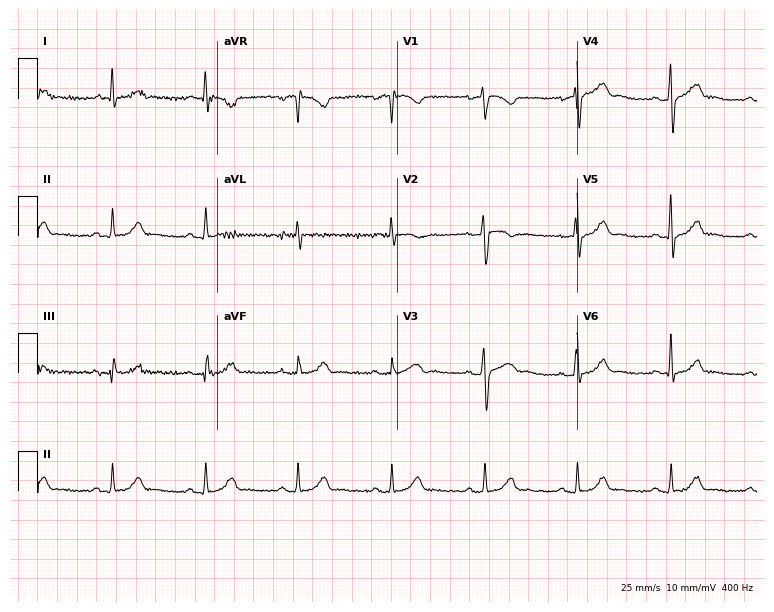
Electrocardiogram (7.3-second recording at 400 Hz), a man, 53 years old. Of the six screened findings (first-degree AV block, right bundle branch block, left bundle branch block, sinus bradycardia, atrial fibrillation, sinus tachycardia), none is recorded.